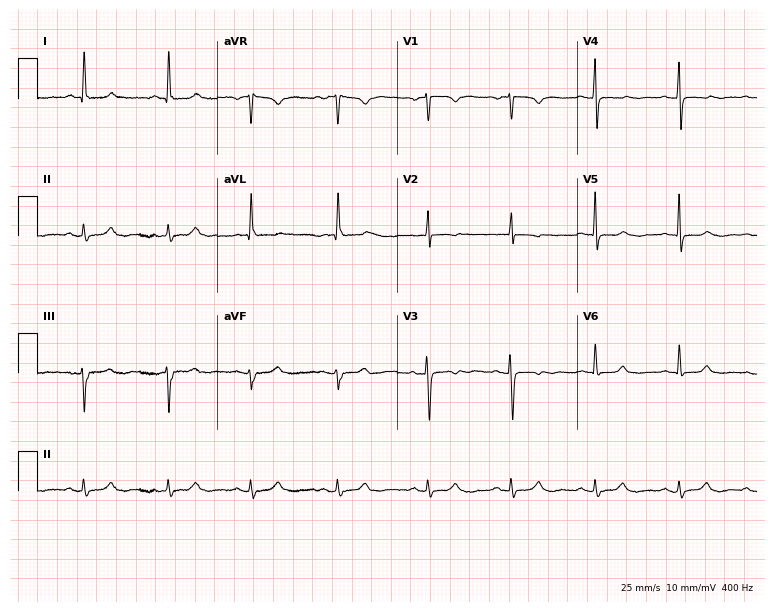
Standard 12-lead ECG recorded from a 46-year-old female. None of these six findings is recorded: first-degree AV block, right bundle branch block (RBBB), left bundle branch block (LBBB), sinus bradycardia, atrial fibrillation (AF), sinus tachycardia. Only these six findings were labelled.